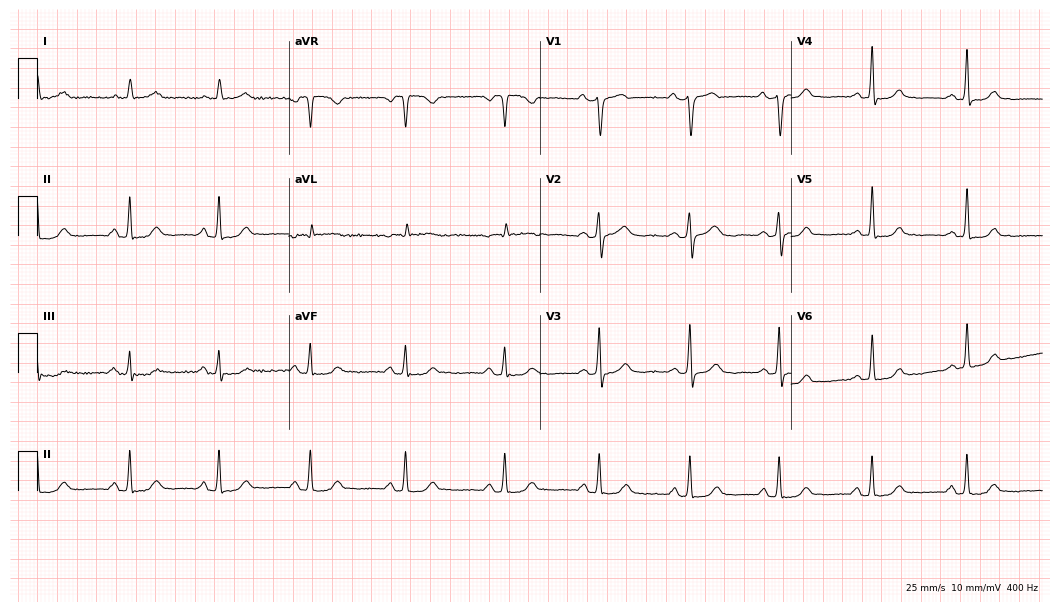
ECG — a 57-year-old female. Screened for six findings — first-degree AV block, right bundle branch block, left bundle branch block, sinus bradycardia, atrial fibrillation, sinus tachycardia — none is recorded.